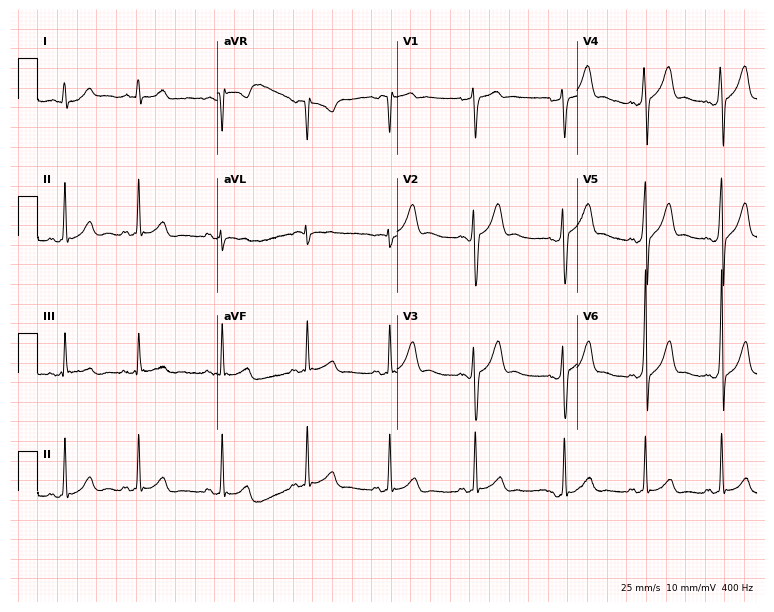
Standard 12-lead ECG recorded from a 23-year-old male patient (7.3-second recording at 400 Hz). None of these six findings is recorded: first-degree AV block, right bundle branch block (RBBB), left bundle branch block (LBBB), sinus bradycardia, atrial fibrillation (AF), sinus tachycardia. Other findings, if any, are not listed.